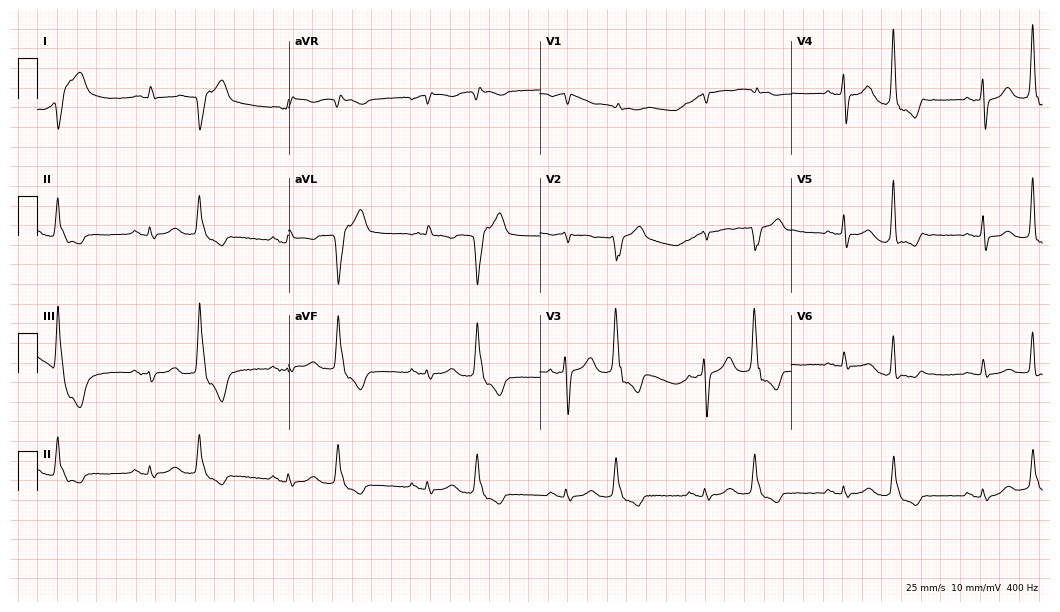
12-lead ECG from a female patient, 80 years old (10.2-second recording at 400 Hz). No first-degree AV block, right bundle branch block, left bundle branch block, sinus bradycardia, atrial fibrillation or sinus tachycardia recorded for this tracing.